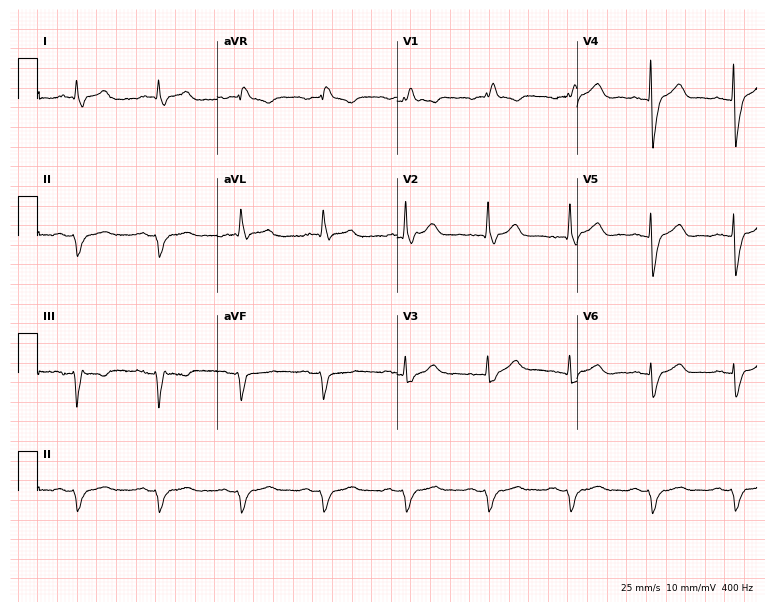
12-lead ECG from a male patient, 84 years old. Findings include right bundle branch block.